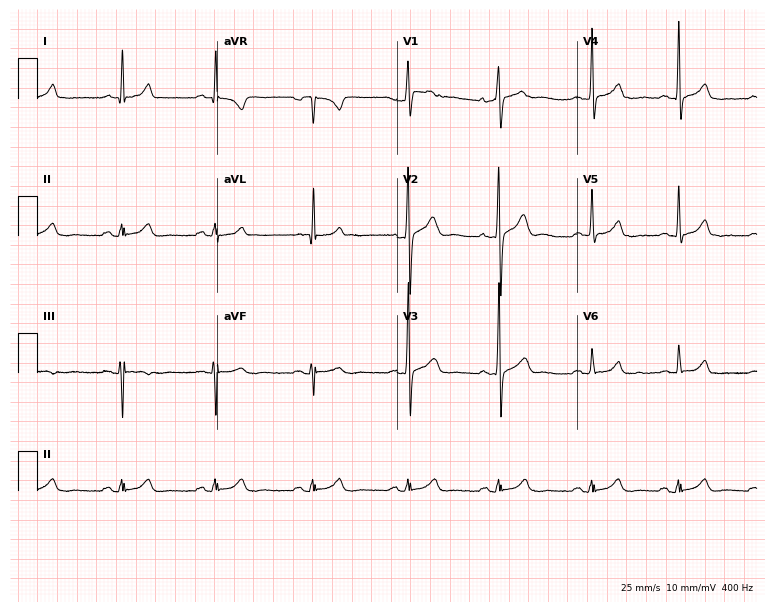
ECG (7.3-second recording at 400 Hz) — a 44-year-old man. Labelled as a normal ECG.